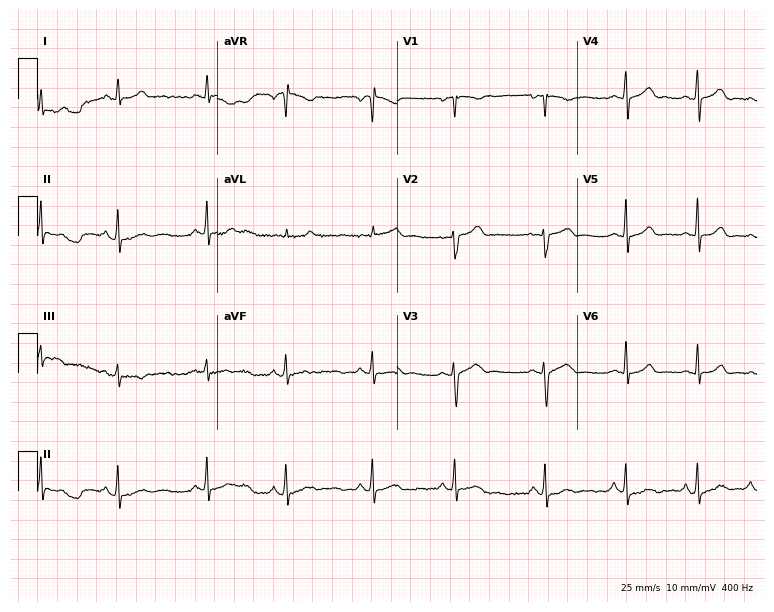
Resting 12-lead electrocardiogram (7.3-second recording at 400 Hz). Patient: a 22-year-old female. Read as a normal ECG.